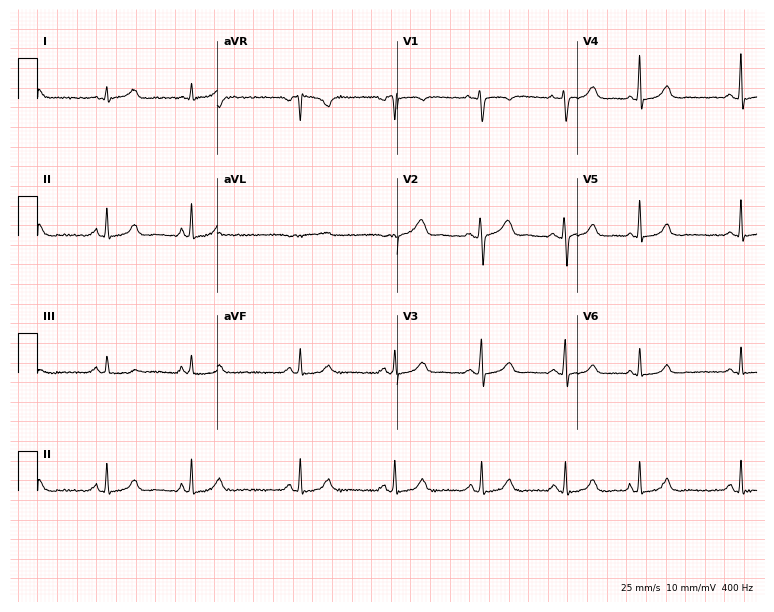
12-lead ECG from a 31-year-old female. Recorded interpretation: within normal limits.